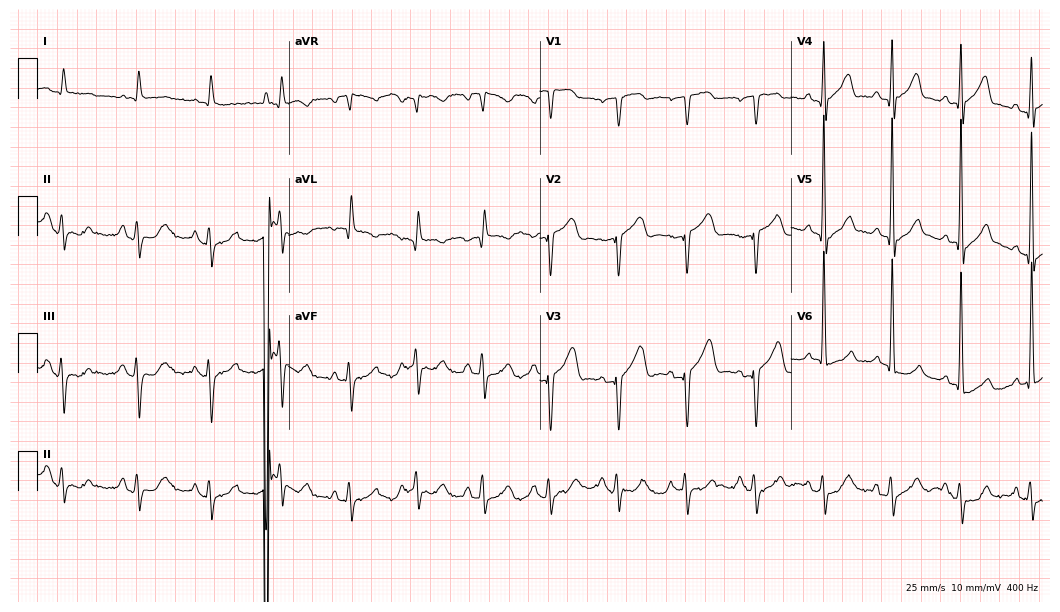
Standard 12-lead ECG recorded from a 67-year-old male patient (10.2-second recording at 400 Hz). None of these six findings is recorded: first-degree AV block, right bundle branch block, left bundle branch block, sinus bradycardia, atrial fibrillation, sinus tachycardia.